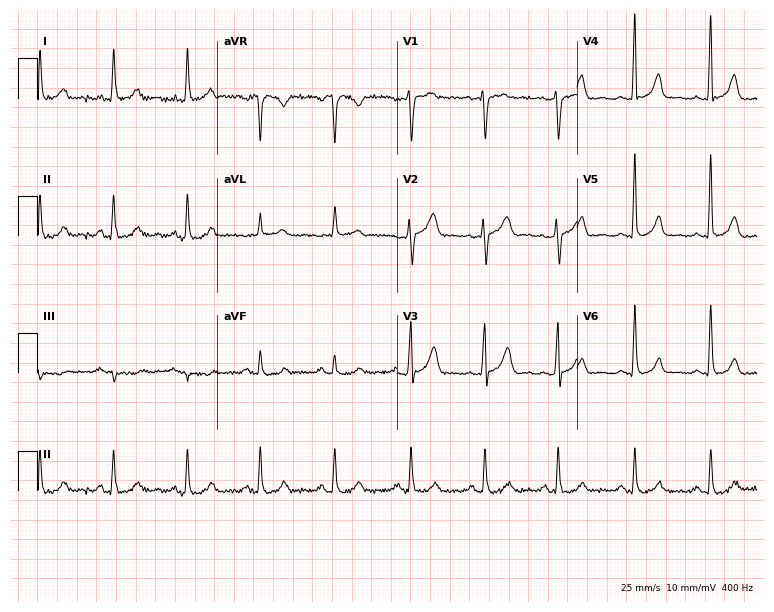
Standard 12-lead ECG recorded from a woman, 58 years old (7.3-second recording at 400 Hz). Read as a normal ECG.